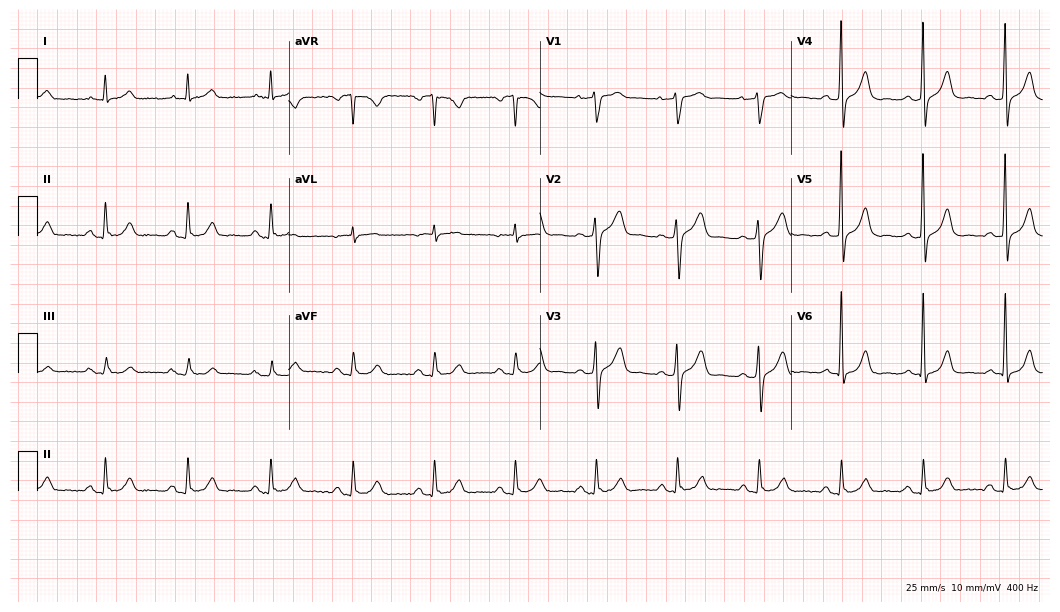
12-lead ECG (10.2-second recording at 400 Hz) from a man, 65 years old. Screened for six findings — first-degree AV block, right bundle branch block, left bundle branch block, sinus bradycardia, atrial fibrillation, sinus tachycardia — none is recorded. Only these six findings were labelled.